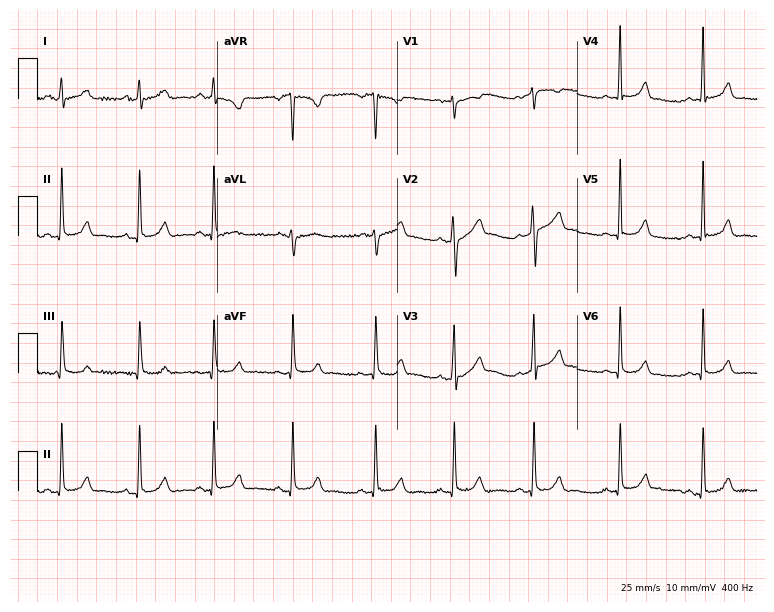
ECG (7.3-second recording at 400 Hz) — a woman, 23 years old. Labelled as a normal ECG.